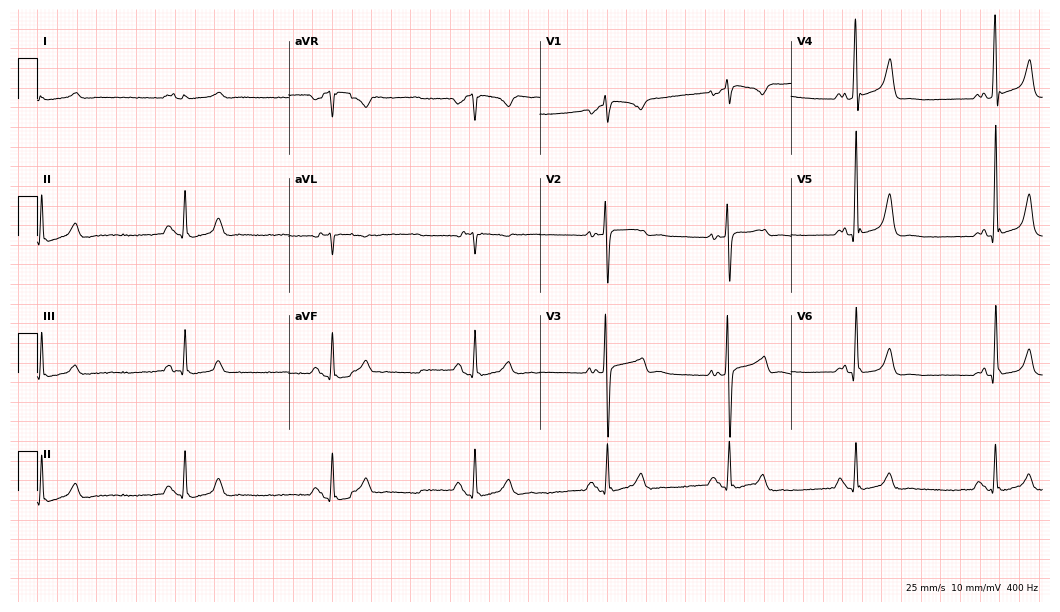
Resting 12-lead electrocardiogram. Patient: a male, 40 years old. The tracing shows sinus bradycardia (a sinus rate of 50 beats per minute or less).